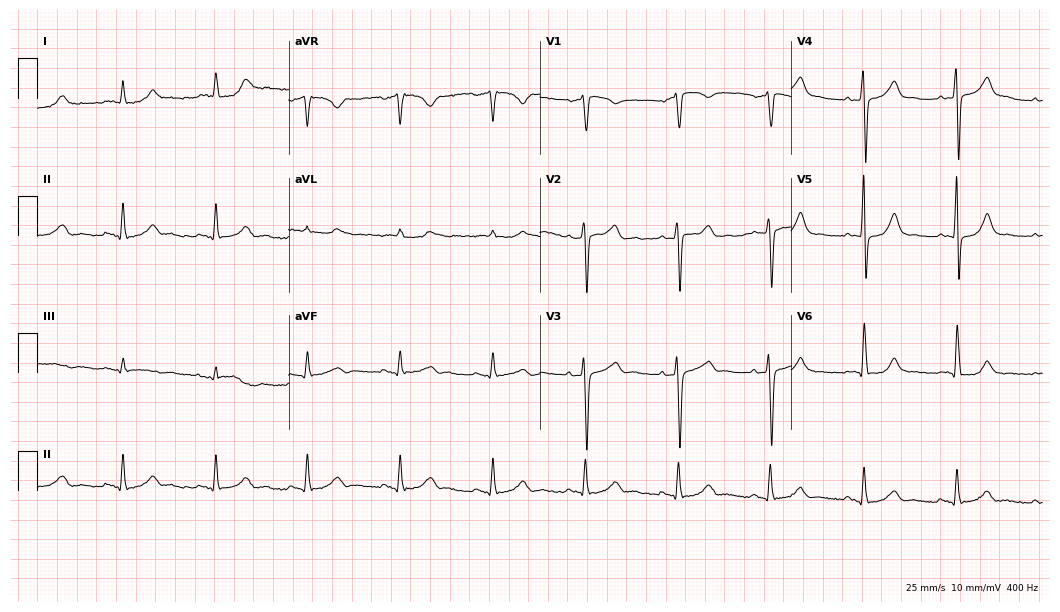
12-lead ECG (10.2-second recording at 400 Hz) from a man, 66 years old. Labelled as a normal ECG.